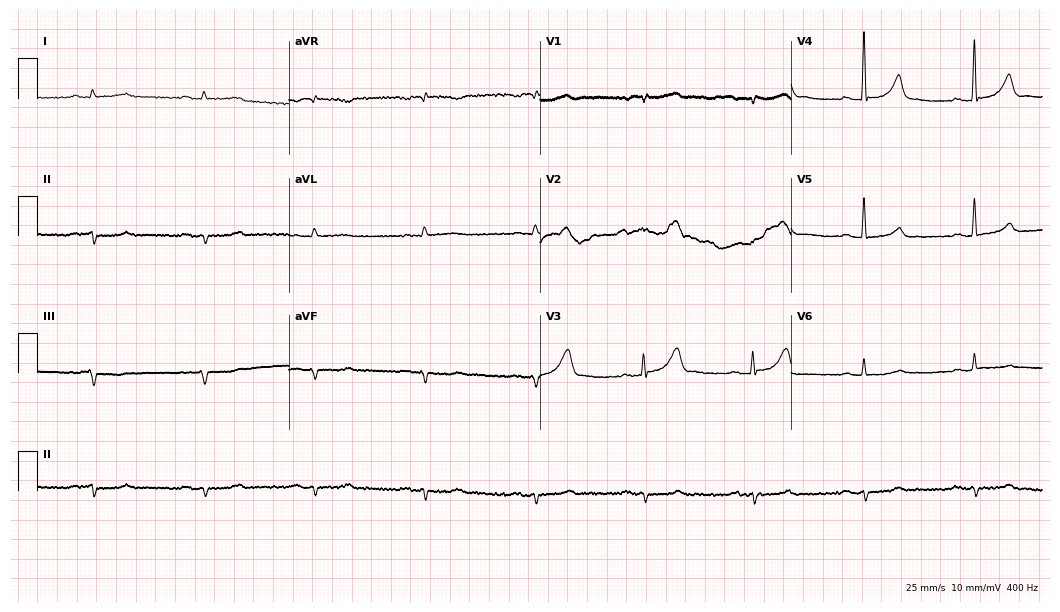
ECG (10.2-second recording at 400 Hz) — a 67-year-old man. Findings include first-degree AV block.